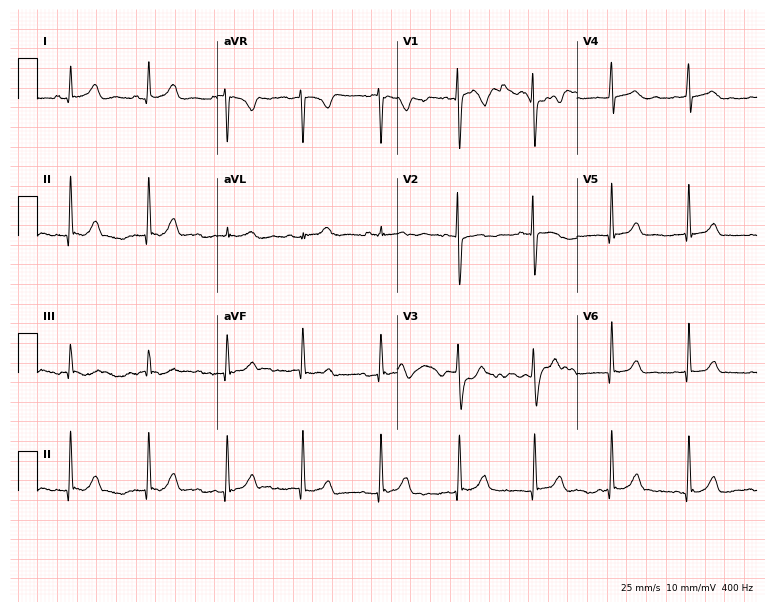
Standard 12-lead ECG recorded from a female patient, 20 years old. Read as a normal ECG.